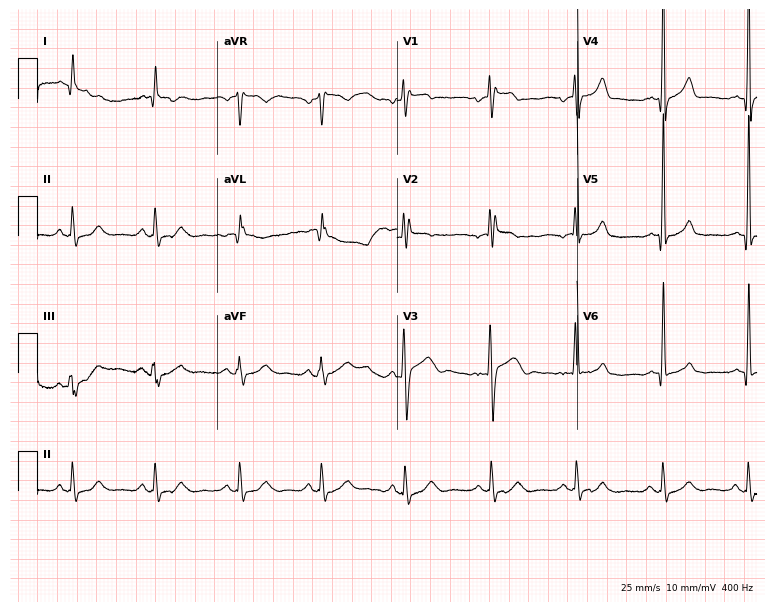
Resting 12-lead electrocardiogram (7.3-second recording at 400 Hz). Patient: a 29-year-old male. None of these six findings is recorded: first-degree AV block, right bundle branch block, left bundle branch block, sinus bradycardia, atrial fibrillation, sinus tachycardia. Findings outside these six are not listed.